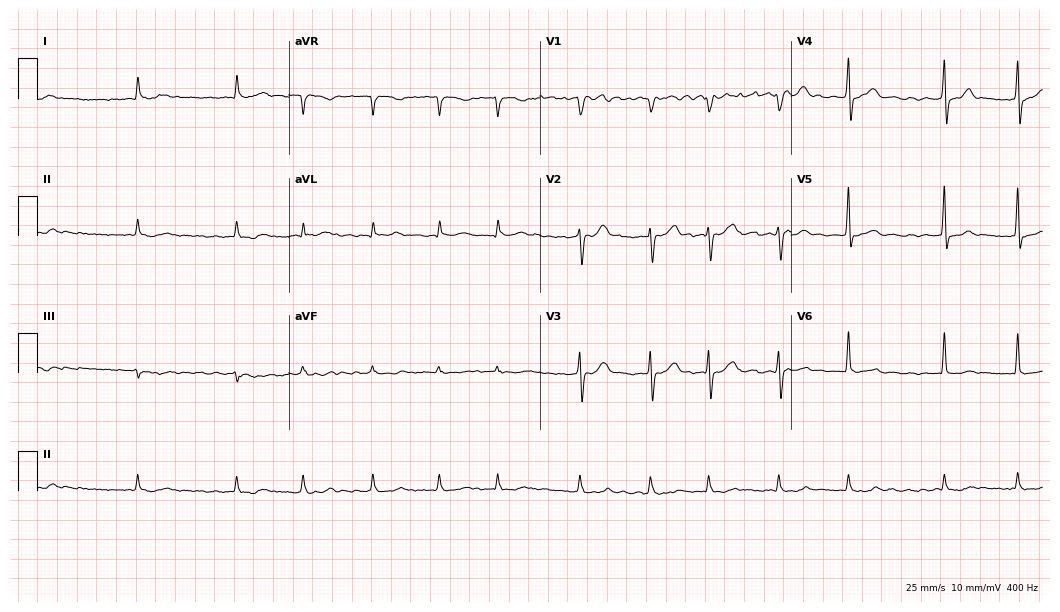
Resting 12-lead electrocardiogram (10.2-second recording at 400 Hz). Patient: a male, 76 years old. The tracing shows atrial fibrillation.